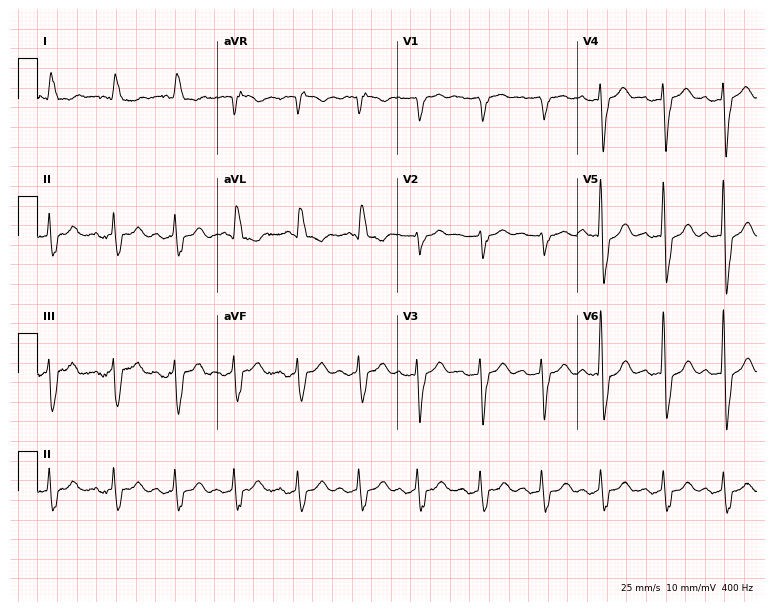
Resting 12-lead electrocardiogram. Patient: a male, 79 years old. None of these six findings is recorded: first-degree AV block, right bundle branch block, left bundle branch block, sinus bradycardia, atrial fibrillation, sinus tachycardia. Findings outside these six are not listed.